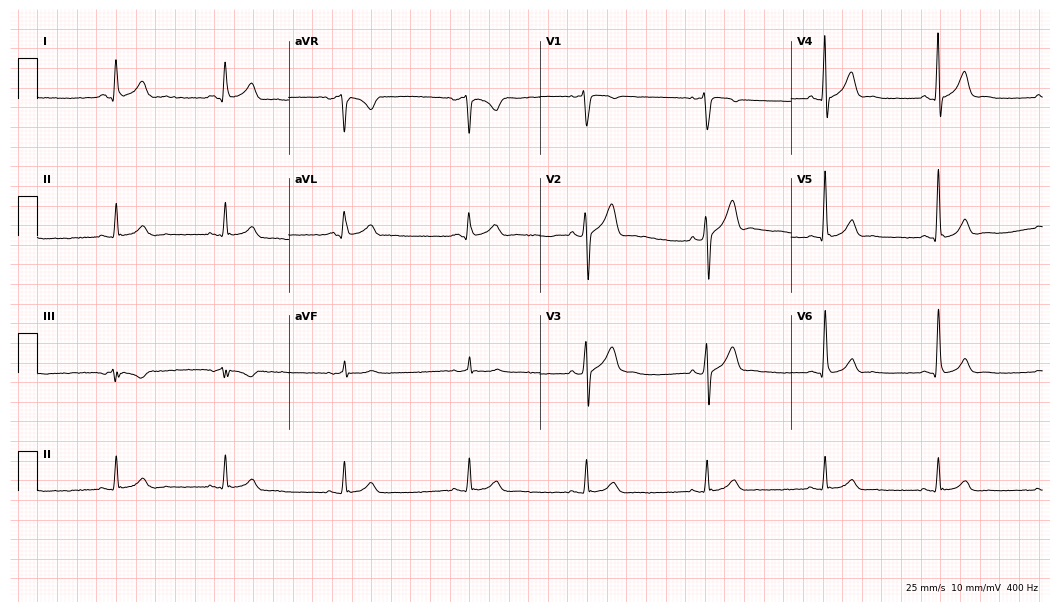
Resting 12-lead electrocardiogram (10.2-second recording at 400 Hz). Patient: a male, 38 years old. Read as a normal ECG.